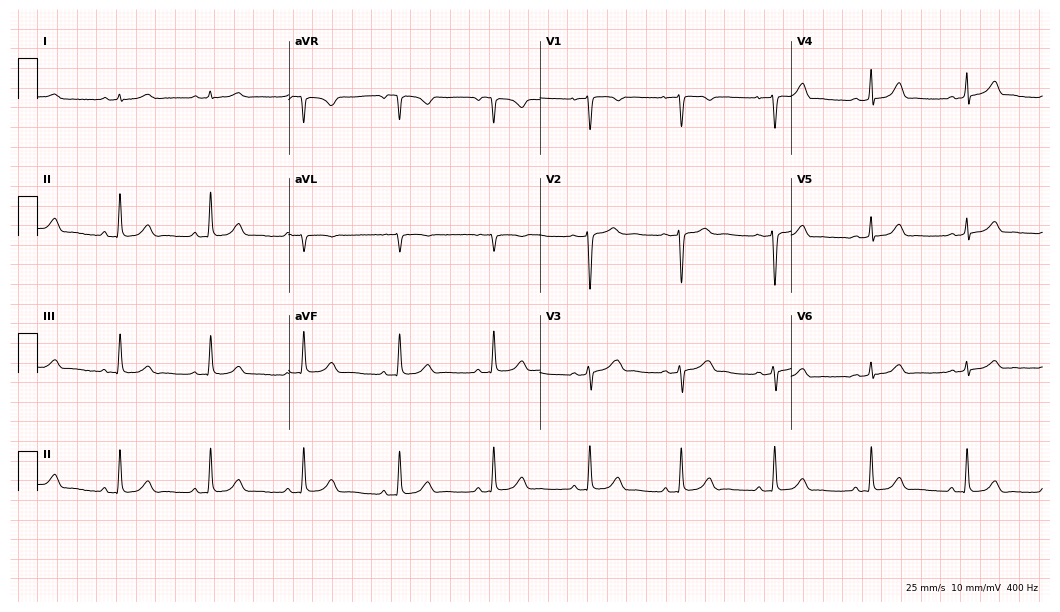
12-lead ECG from a woman, 23 years old. Labelled as a normal ECG.